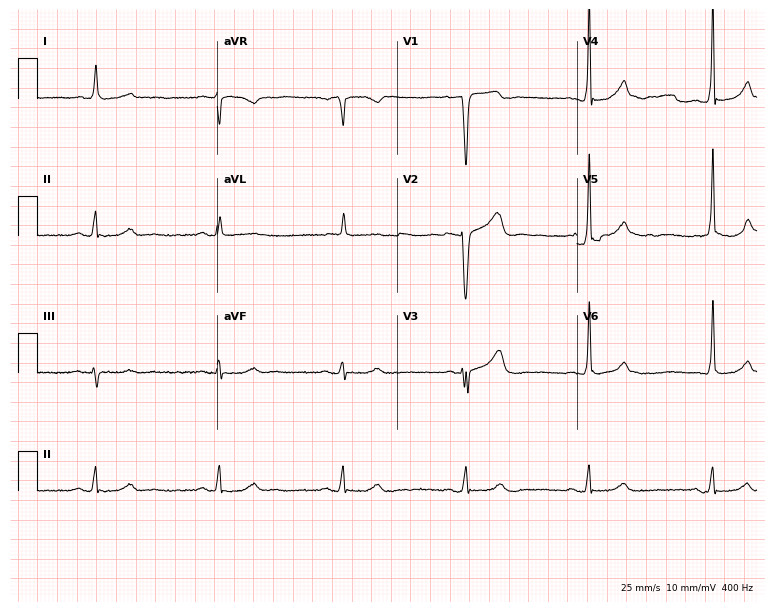
Standard 12-lead ECG recorded from a male patient, 81 years old (7.3-second recording at 400 Hz). The tracing shows sinus bradycardia (a sinus rate of 50 beats per minute or less).